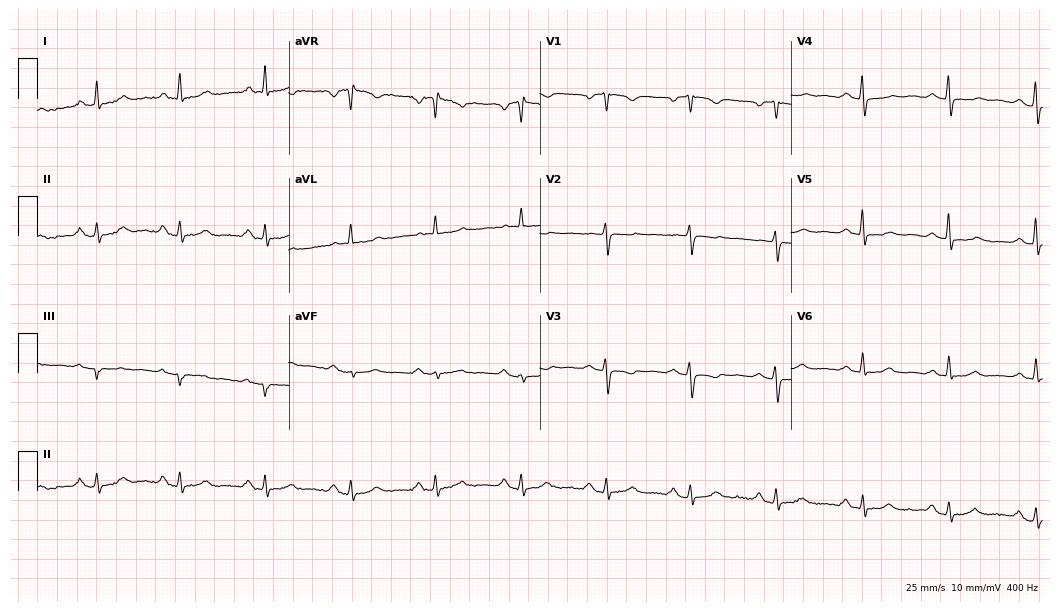
12-lead ECG (10.2-second recording at 400 Hz) from a female, 60 years old. Screened for six findings — first-degree AV block, right bundle branch block, left bundle branch block, sinus bradycardia, atrial fibrillation, sinus tachycardia — none is recorded. Only these six findings were labelled.